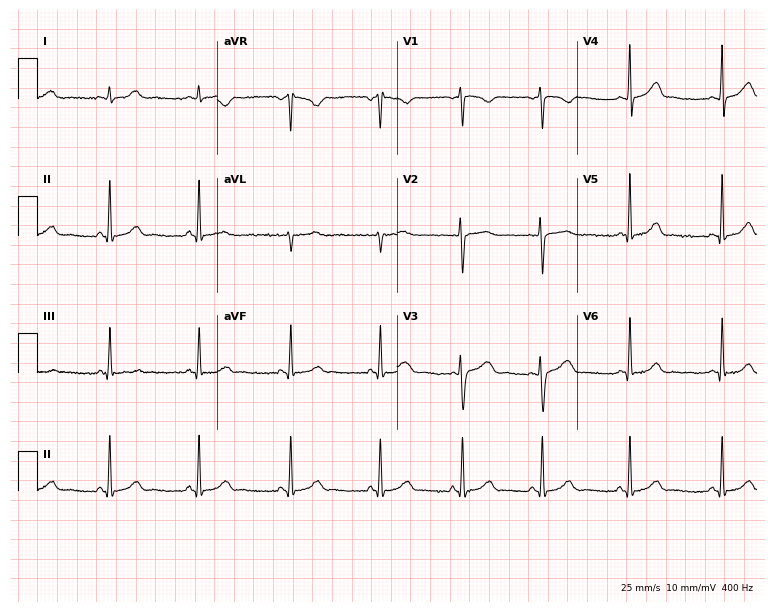
Resting 12-lead electrocardiogram (7.3-second recording at 400 Hz). Patient: a female, 28 years old. Read as a normal ECG.